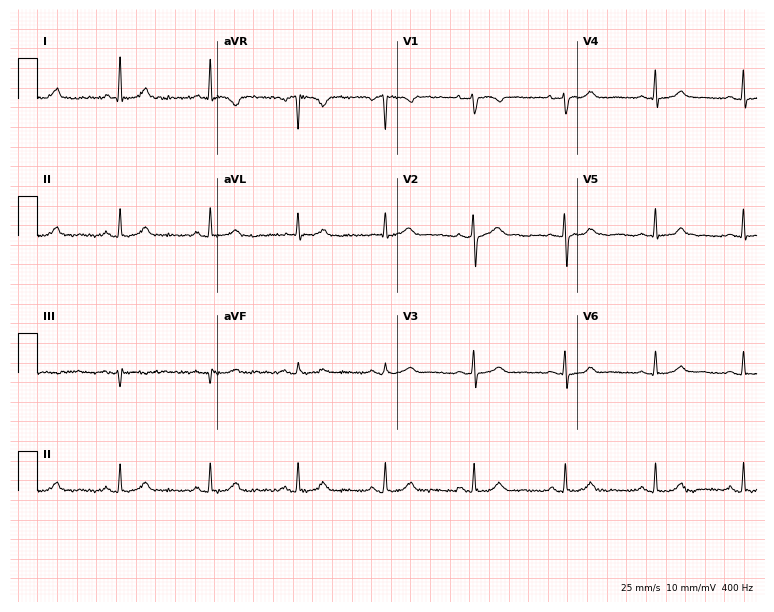
Resting 12-lead electrocardiogram (7.3-second recording at 400 Hz). Patient: a woman, 52 years old. None of these six findings is recorded: first-degree AV block, right bundle branch block, left bundle branch block, sinus bradycardia, atrial fibrillation, sinus tachycardia.